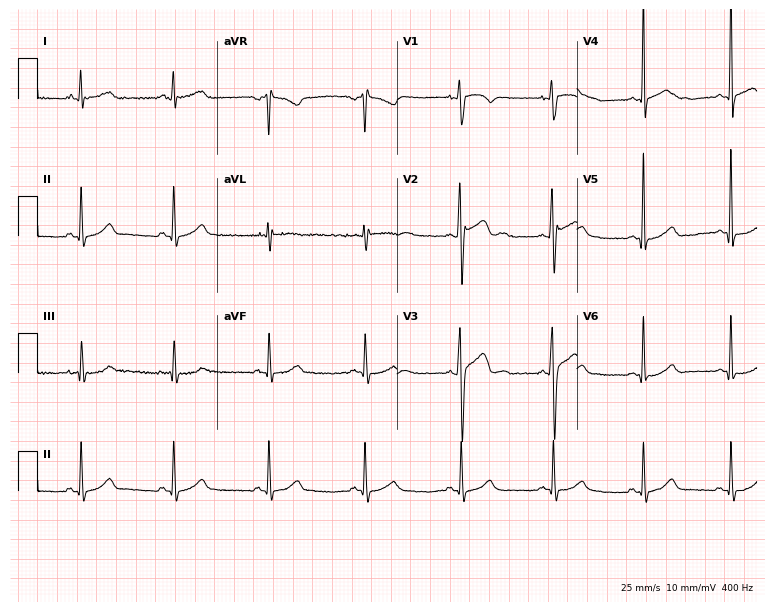
Resting 12-lead electrocardiogram. Patient: a 19-year-old male. None of these six findings is recorded: first-degree AV block, right bundle branch block, left bundle branch block, sinus bradycardia, atrial fibrillation, sinus tachycardia.